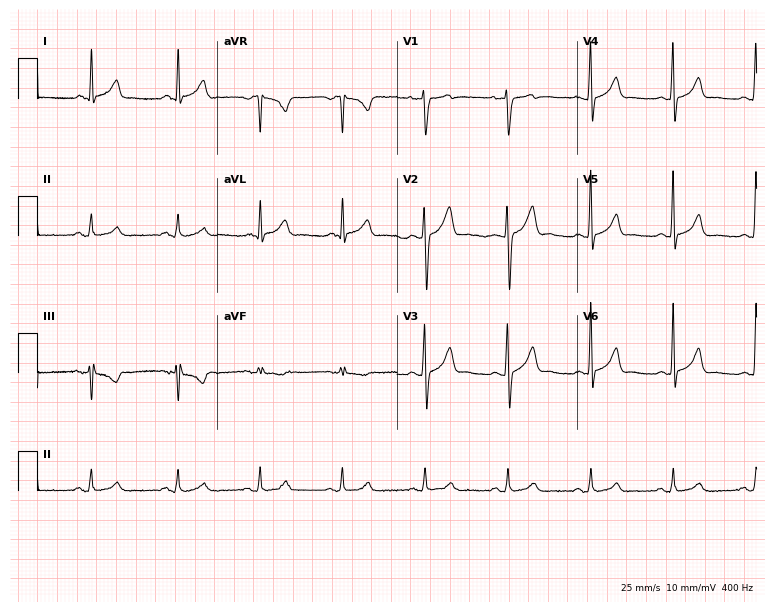
12-lead ECG (7.3-second recording at 400 Hz) from a 41-year-old male patient. Screened for six findings — first-degree AV block, right bundle branch block (RBBB), left bundle branch block (LBBB), sinus bradycardia, atrial fibrillation (AF), sinus tachycardia — none is recorded. Only these six findings were labelled.